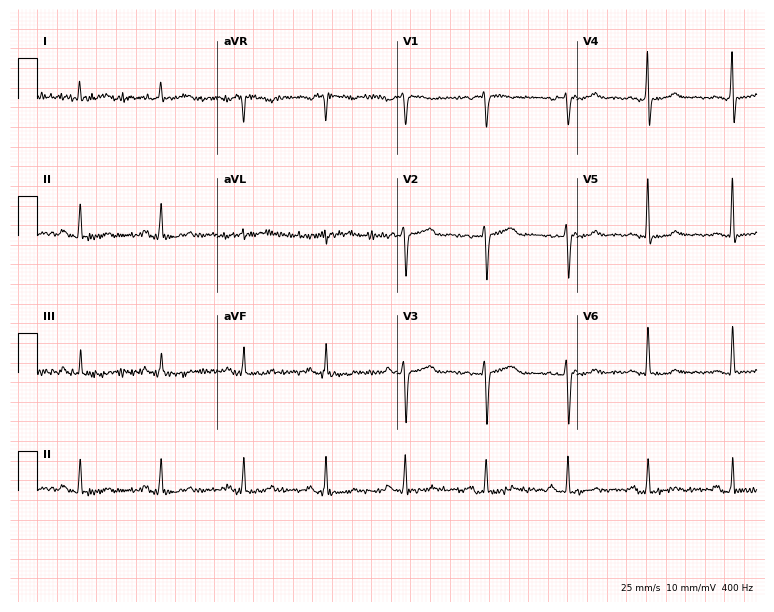
Electrocardiogram (7.3-second recording at 400 Hz), a female, 45 years old. Overall reading on record: normal ECG.